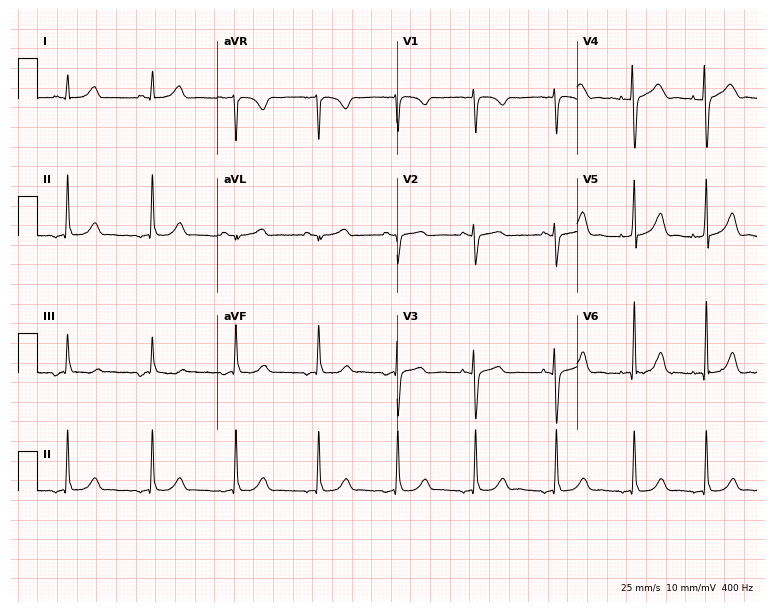
12-lead ECG from a 26-year-old female. No first-degree AV block, right bundle branch block, left bundle branch block, sinus bradycardia, atrial fibrillation or sinus tachycardia recorded for this tracing. Findings outside these six are not listed.